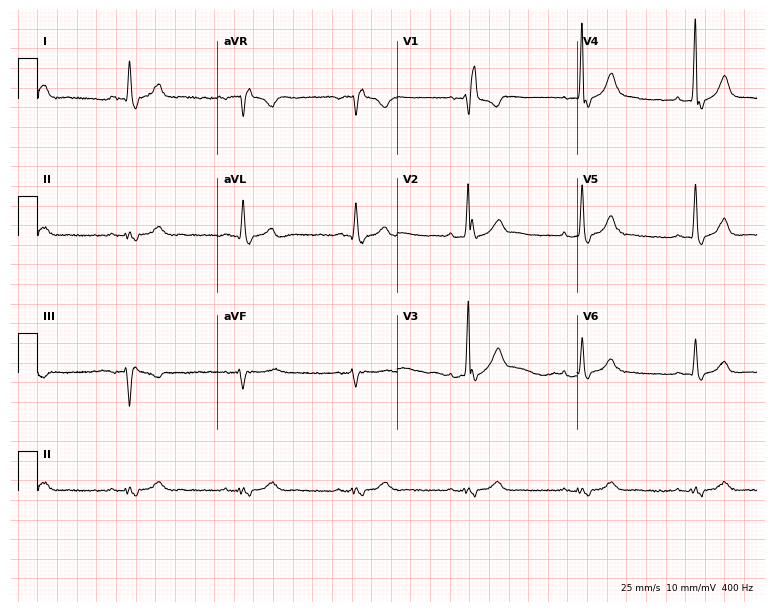
ECG — a 59-year-old male patient. Findings include right bundle branch block (RBBB).